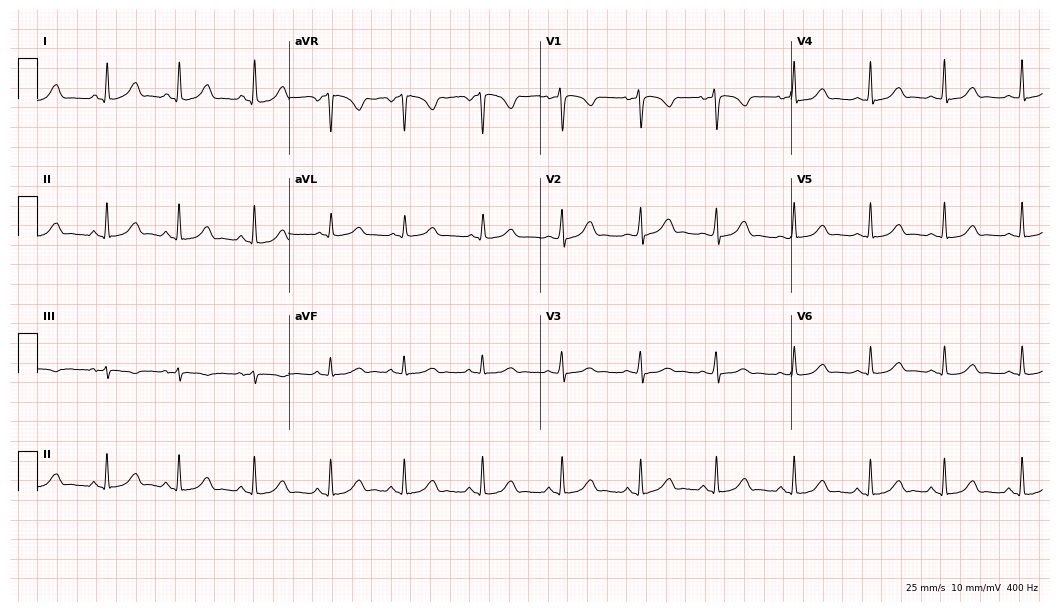
Standard 12-lead ECG recorded from a 21-year-old woman (10.2-second recording at 400 Hz). Read as a normal ECG.